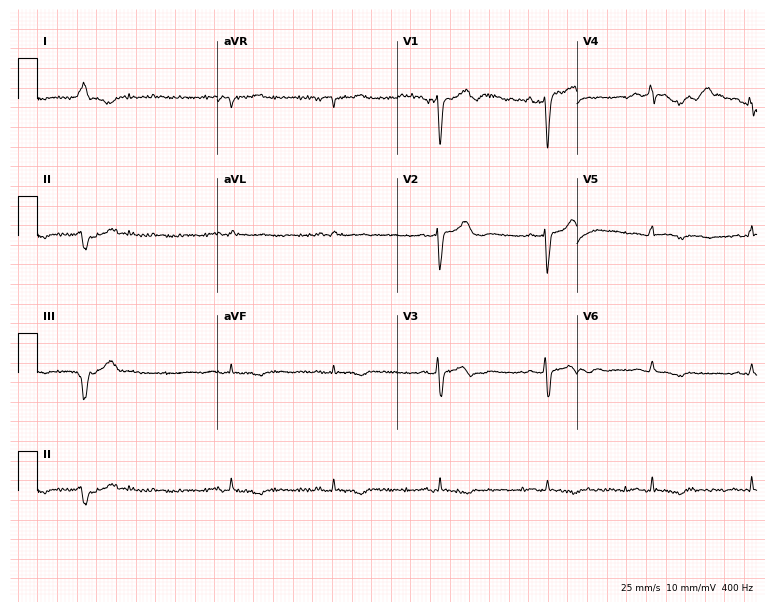
Electrocardiogram, a 65-year-old male patient. Of the six screened findings (first-degree AV block, right bundle branch block, left bundle branch block, sinus bradycardia, atrial fibrillation, sinus tachycardia), none is recorded.